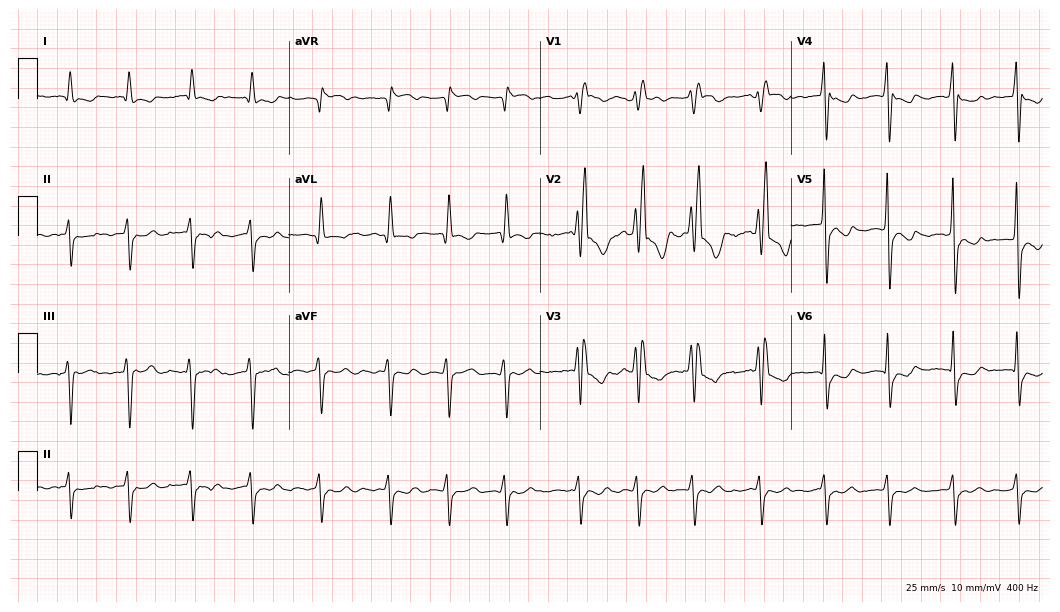
Electrocardiogram (10.2-second recording at 400 Hz), a woman, 84 years old. Interpretation includes right bundle branch block, atrial fibrillation.